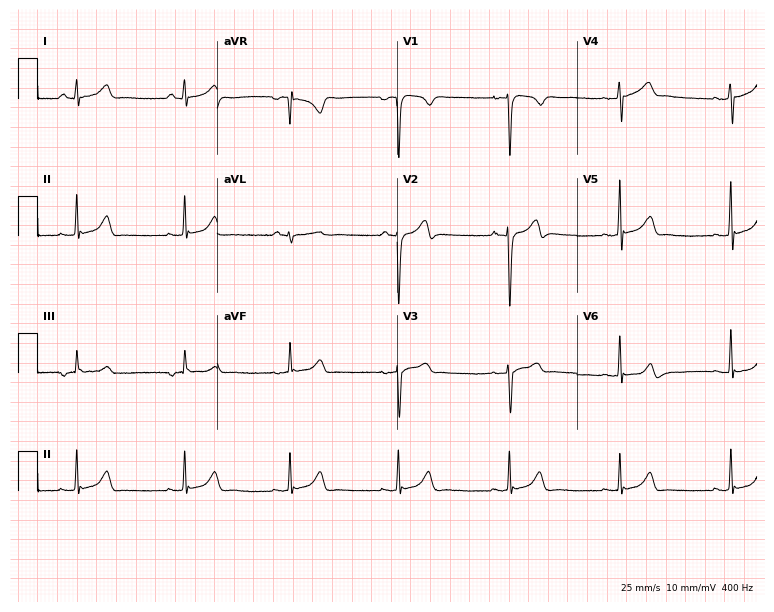
12-lead ECG from a 24-year-old male patient (7.3-second recording at 400 Hz). Recorded interpretation: within normal limits.